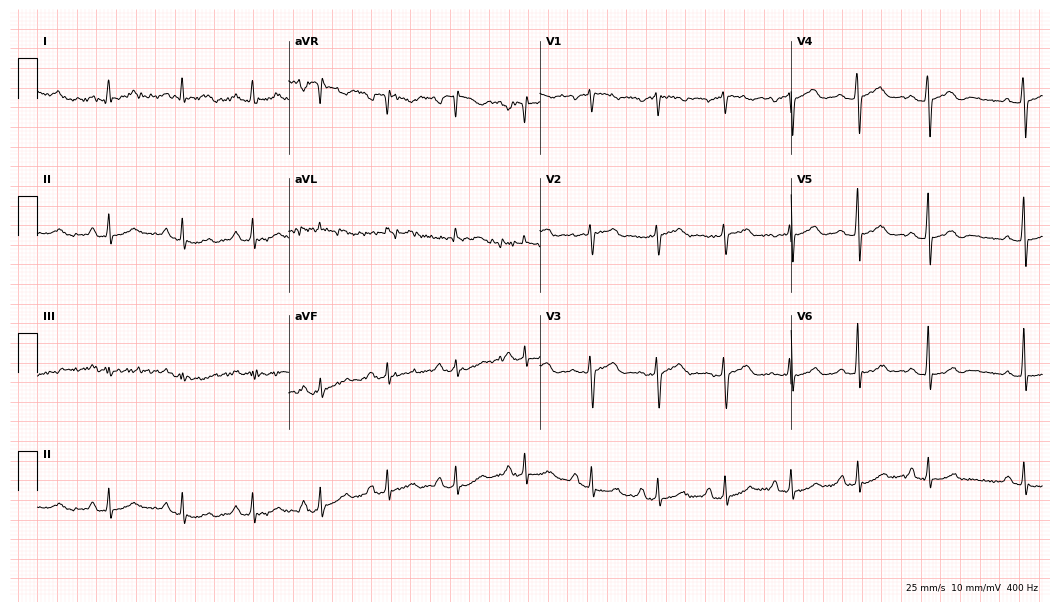
ECG (10.2-second recording at 400 Hz) — a 57-year-old female. Screened for six findings — first-degree AV block, right bundle branch block, left bundle branch block, sinus bradycardia, atrial fibrillation, sinus tachycardia — none is recorded.